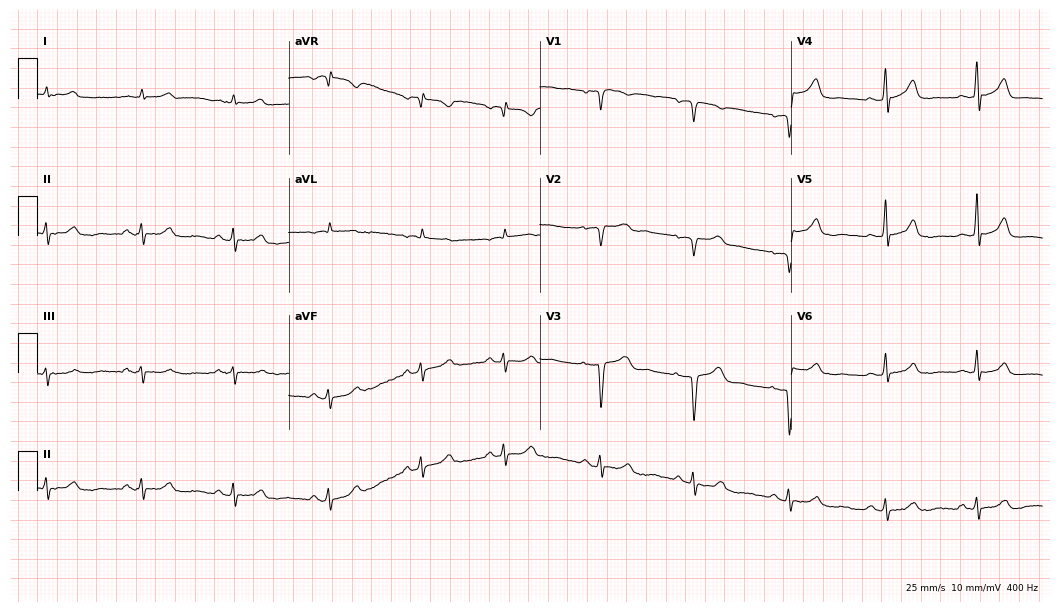
ECG (10.2-second recording at 400 Hz) — a male, 54 years old. Screened for six findings — first-degree AV block, right bundle branch block, left bundle branch block, sinus bradycardia, atrial fibrillation, sinus tachycardia — none is recorded. Only these six findings were labelled.